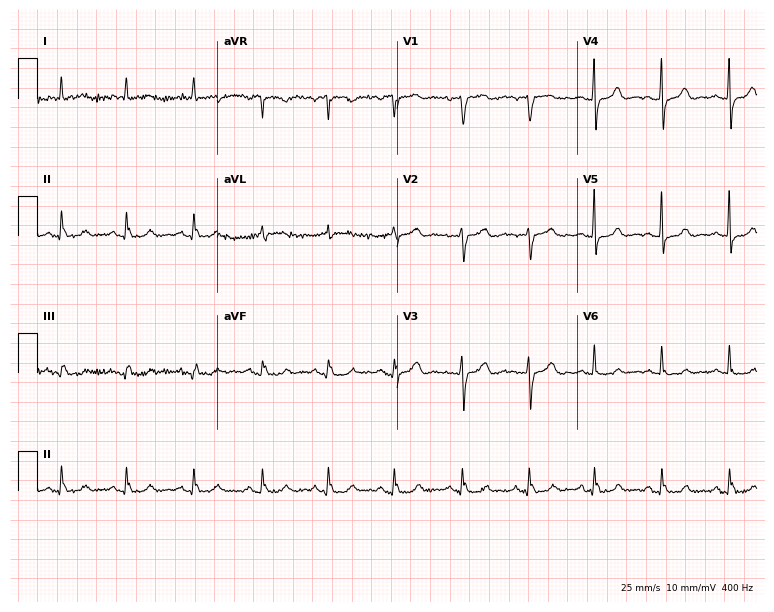
Standard 12-lead ECG recorded from a woman, 75 years old. None of these six findings is recorded: first-degree AV block, right bundle branch block (RBBB), left bundle branch block (LBBB), sinus bradycardia, atrial fibrillation (AF), sinus tachycardia.